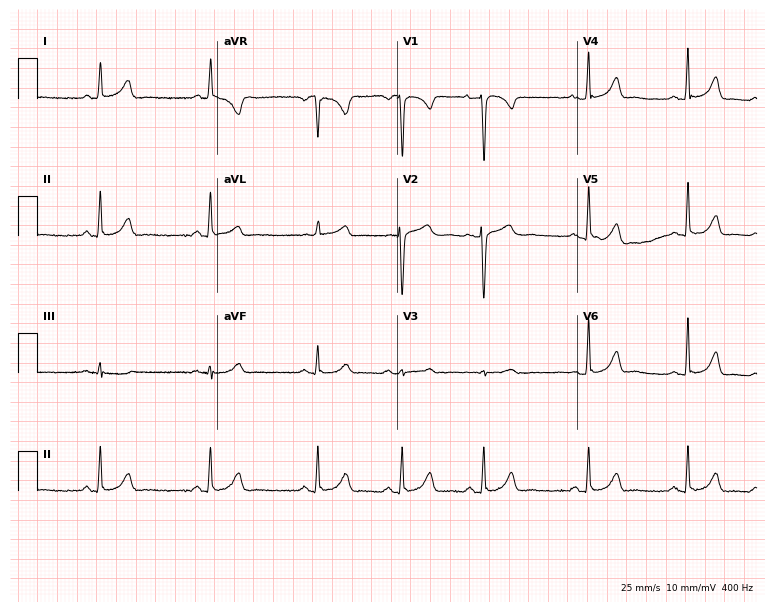
12-lead ECG (7.3-second recording at 400 Hz) from a 29-year-old female. Labelled as a normal ECG.